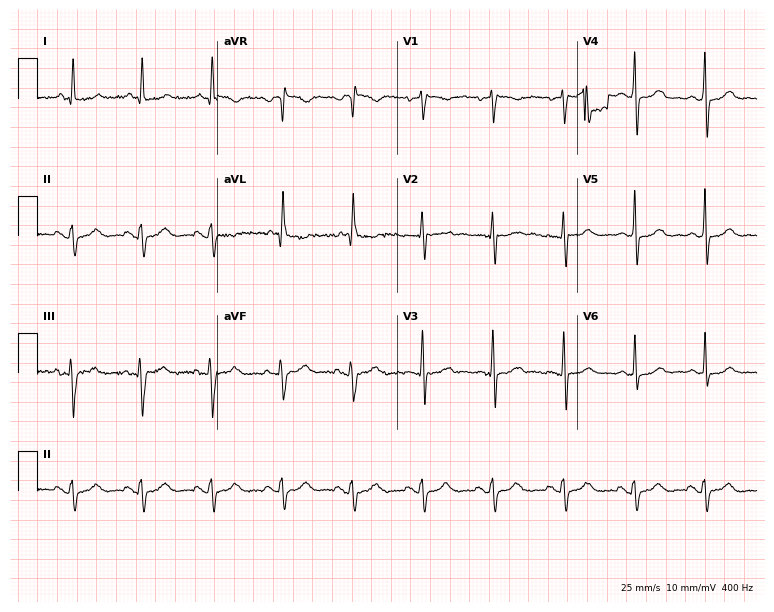
Standard 12-lead ECG recorded from a woman, 51 years old (7.3-second recording at 400 Hz). None of these six findings is recorded: first-degree AV block, right bundle branch block (RBBB), left bundle branch block (LBBB), sinus bradycardia, atrial fibrillation (AF), sinus tachycardia. Only these six findings were labelled.